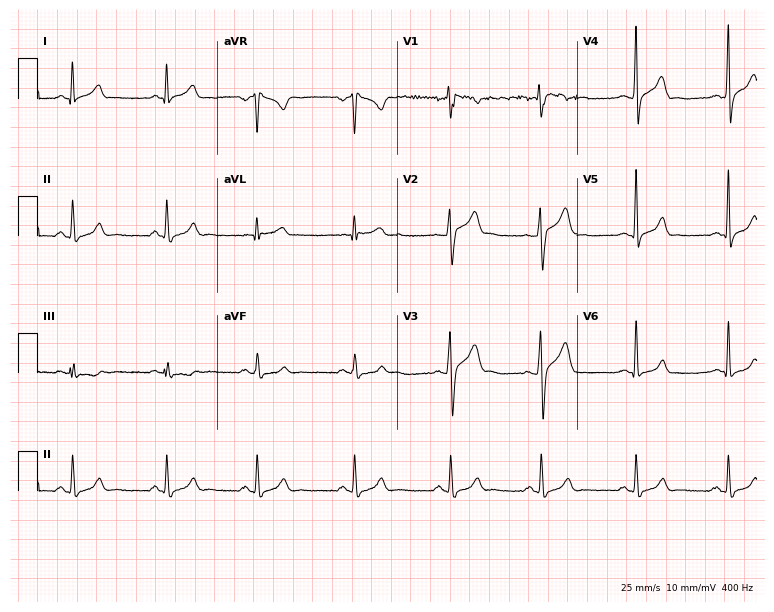
12-lead ECG from a 26-year-old male patient. Labelled as a normal ECG.